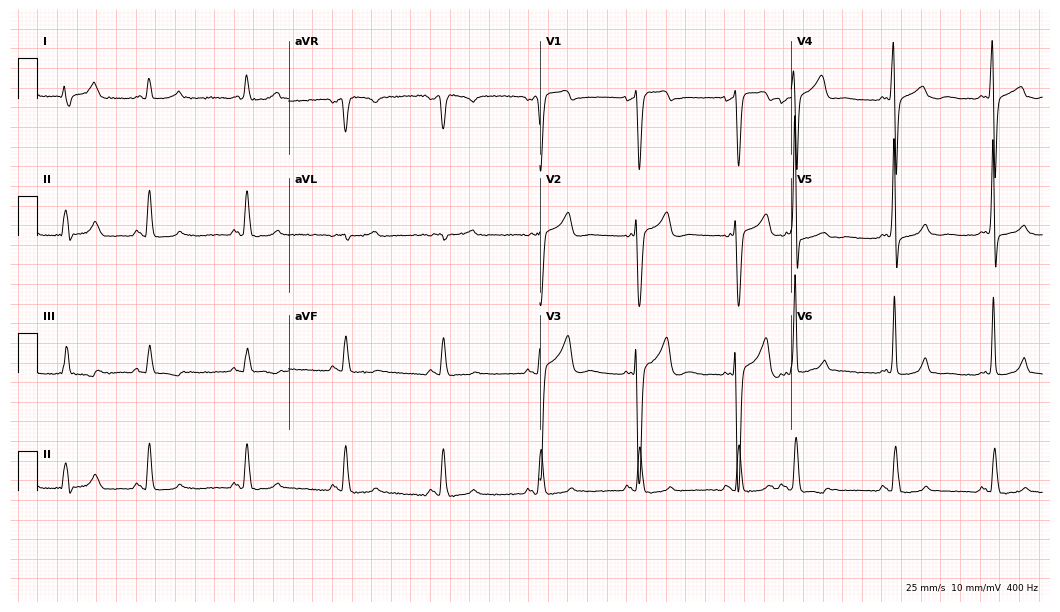
12-lead ECG from a 78-year-old man. No first-degree AV block, right bundle branch block (RBBB), left bundle branch block (LBBB), sinus bradycardia, atrial fibrillation (AF) or sinus tachycardia recorded for this tracing. Other findings, if any, are not listed.